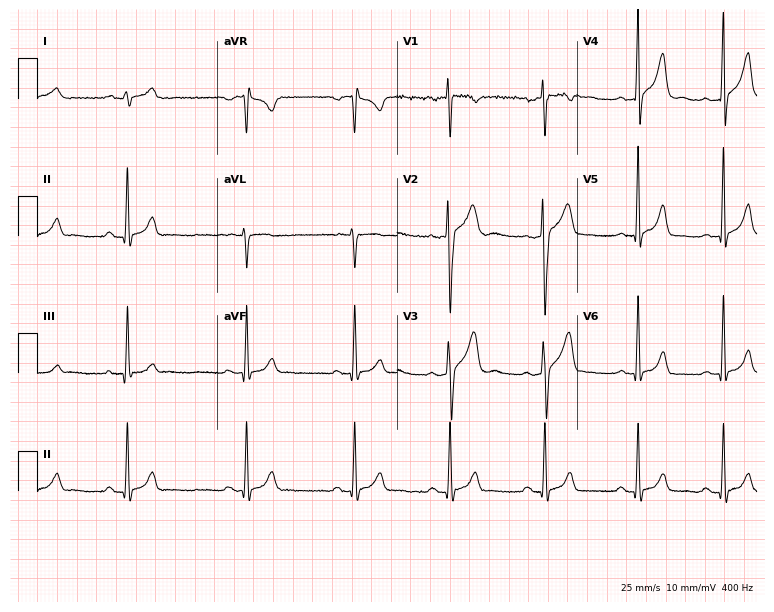
12-lead ECG from a man, 25 years old. Screened for six findings — first-degree AV block, right bundle branch block, left bundle branch block, sinus bradycardia, atrial fibrillation, sinus tachycardia — none is recorded. Other findings, if any, are not listed.